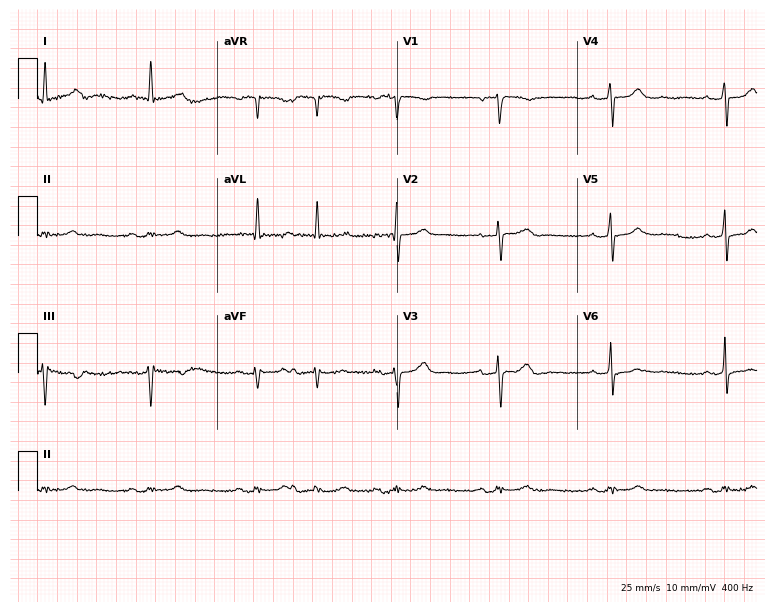
ECG — a 74-year-old female. Screened for six findings — first-degree AV block, right bundle branch block, left bundle branch block, sinus bradycardia, atrial fibrillation, sinus tachycardia — none is recorded. Other findings, if any, are not listed.